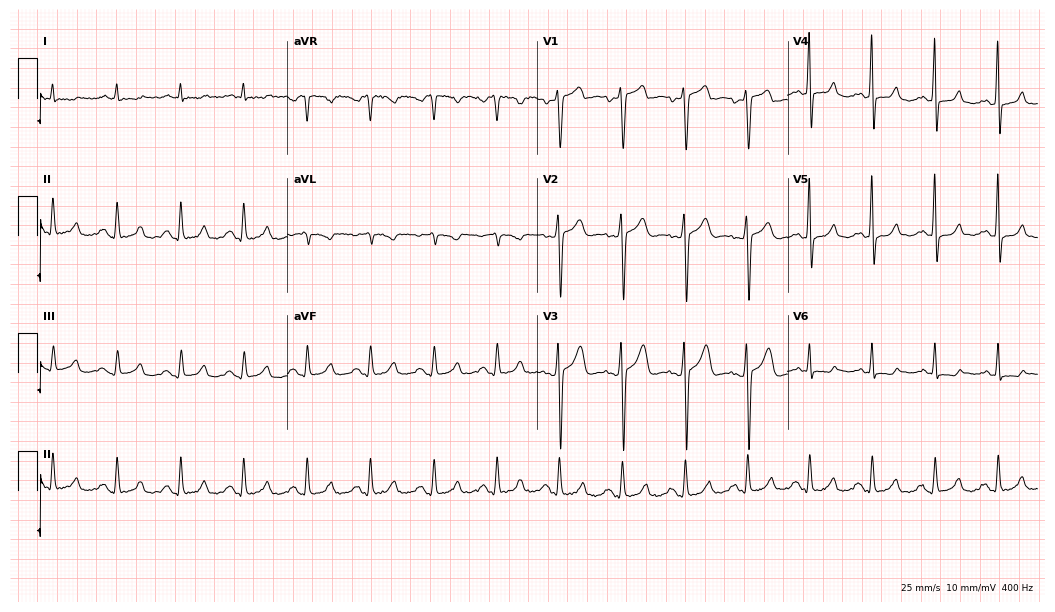
12-lead ECG from a 41-year-old female. Recorded interpretation: within normal limits.